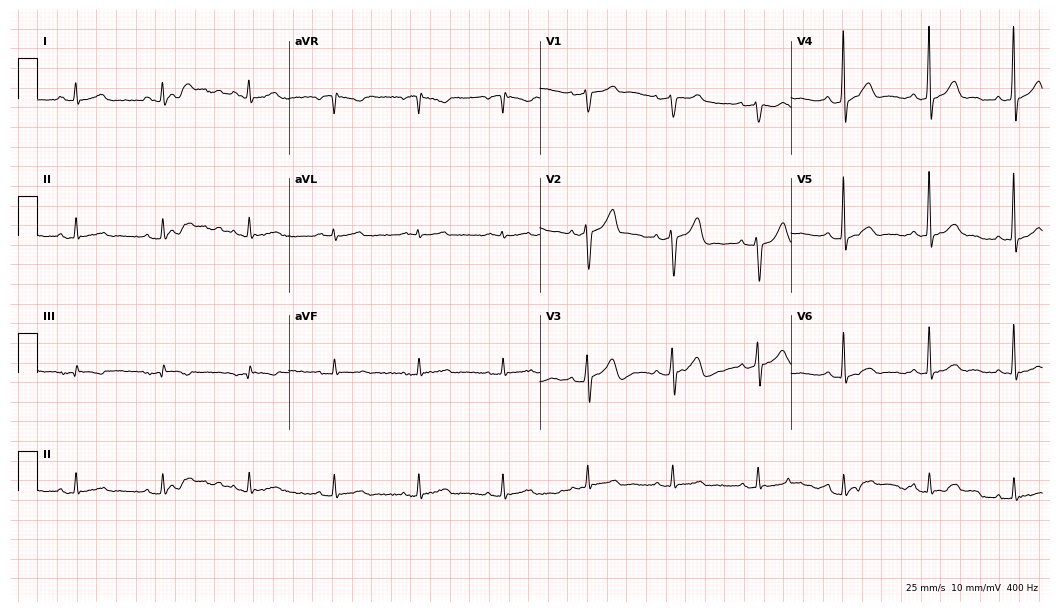
Resting 12-lead electrocardiogram. Patient: a 70-year-old male. None of these six findings is recorded: first-degree AV block, right bundle branch block, left bundle branch block, sinus bradycardia, atrial fibrillation, sinus tachycardia.